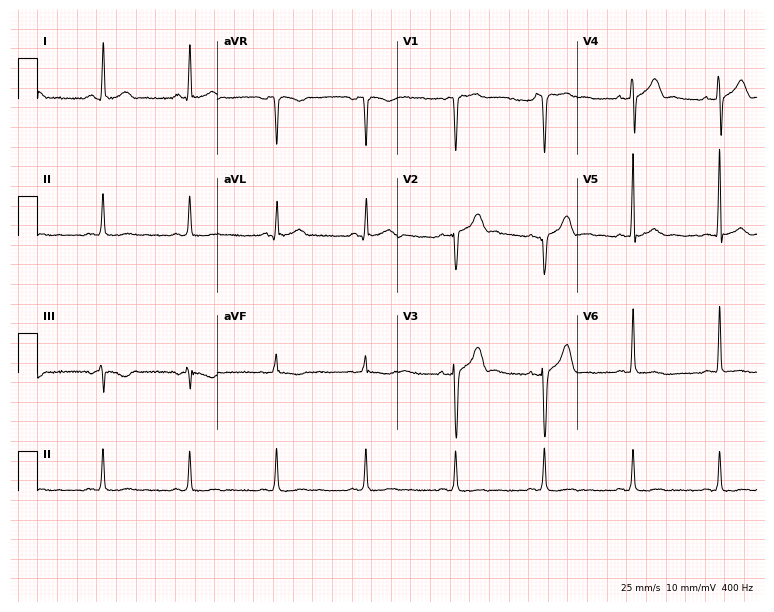
Resting 12-lead electrocardiogram (7.3-second recording at 400 Hz). Patient: a male, 51 years old. None of these six findings is recorded: first-degree AV block, right bundle branch block (RBBB), left bundle branch block (LBBB), sinus bradycardia, atrial fibrillation (AF), sinus tachycardia.